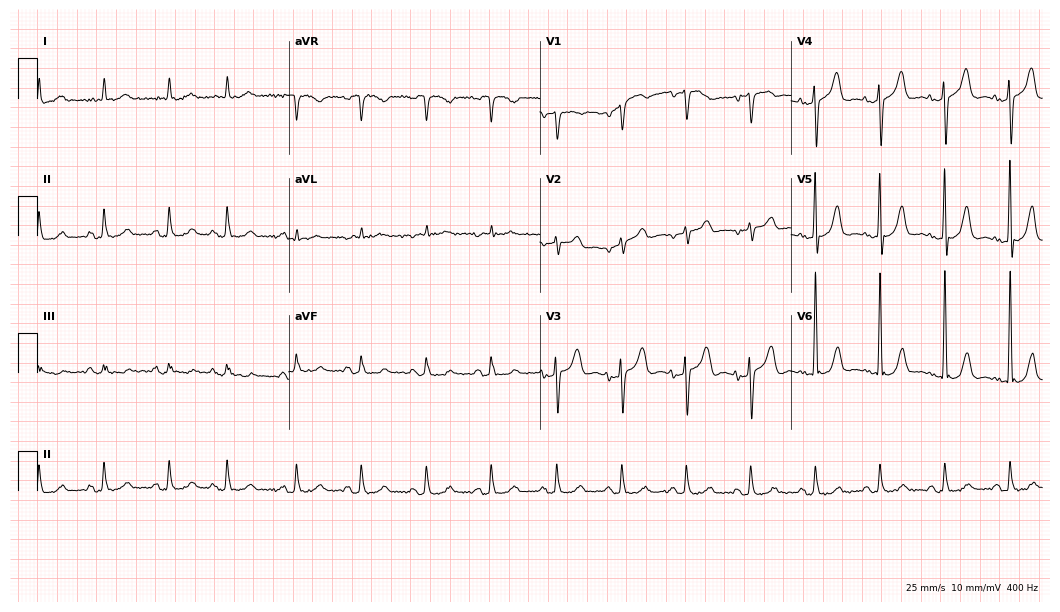
ECG (10.2-second recording at 400 Hz) — a female patient, 80 years old. Screened for six findings — first-degree AV block, right bundle branch block (RBBB), left bundle branch block (LBBB), sinus bradycardia, atrial fibrillation (AF), sinus tachycardia — none is recorded.